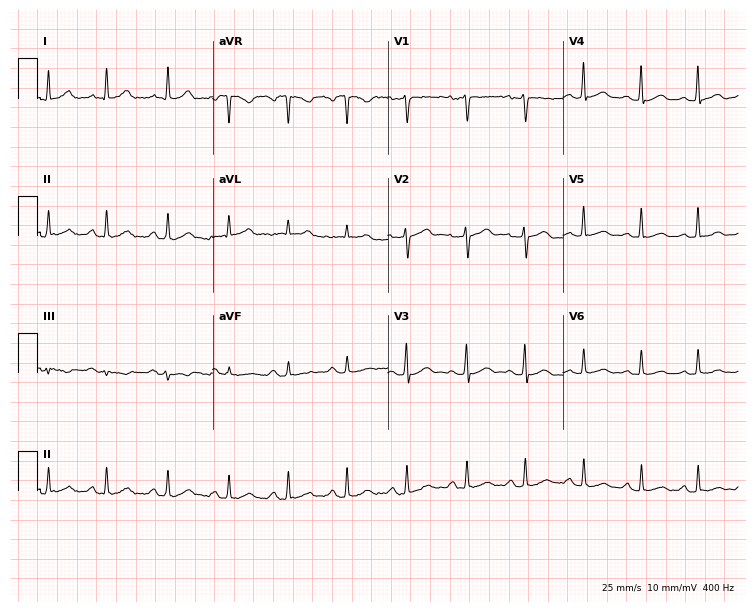
Electrocardiogram (7.1-second recording at 400 Hz), a female patient, 49 years old. Overall reading on record: normal ECG.